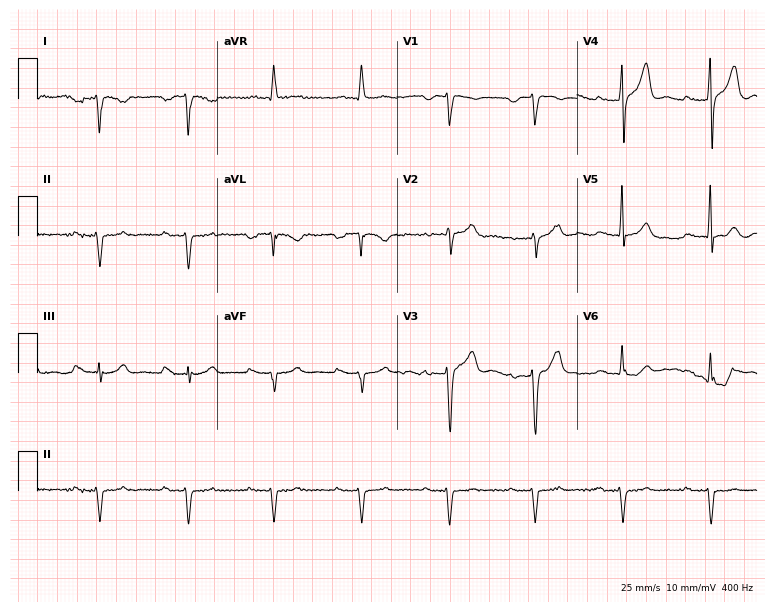
Standard 12-lead ECG recorded from a 67-year-old man (7.3-second recording at 400 Hz). None of these six findings is recorded: first-degree AV block, right bundle branch block (RBBB), left bundle branch block (LBBB), sinus bradycardia, atrial fibrillation (AF), sinus tachycardia. Other findings, if any, are not listed.